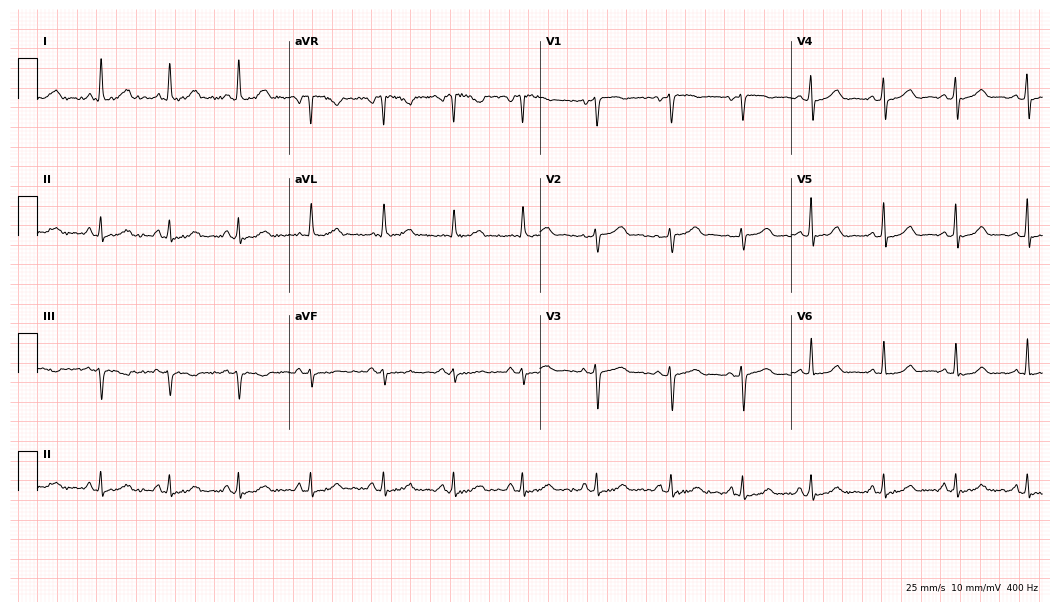
Resting 12-lead electrocardiogram. Patient: a woman, 51 years old. Read as a normal ECG.